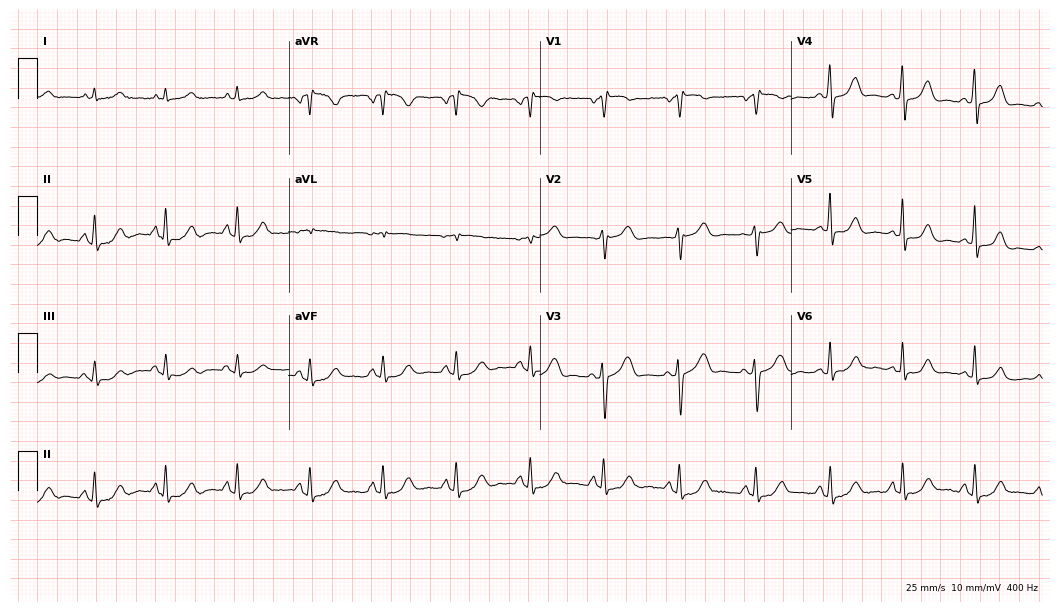
Electrocardiogram, a 44-year-old woman. Of the six screened findings (first-degree AV block, right bundle branch block (RBBB), left bundle branch block (LBBB), sinus bradycardia, atrial fibrillation (AF), sinus tachycardia), none is recorded.